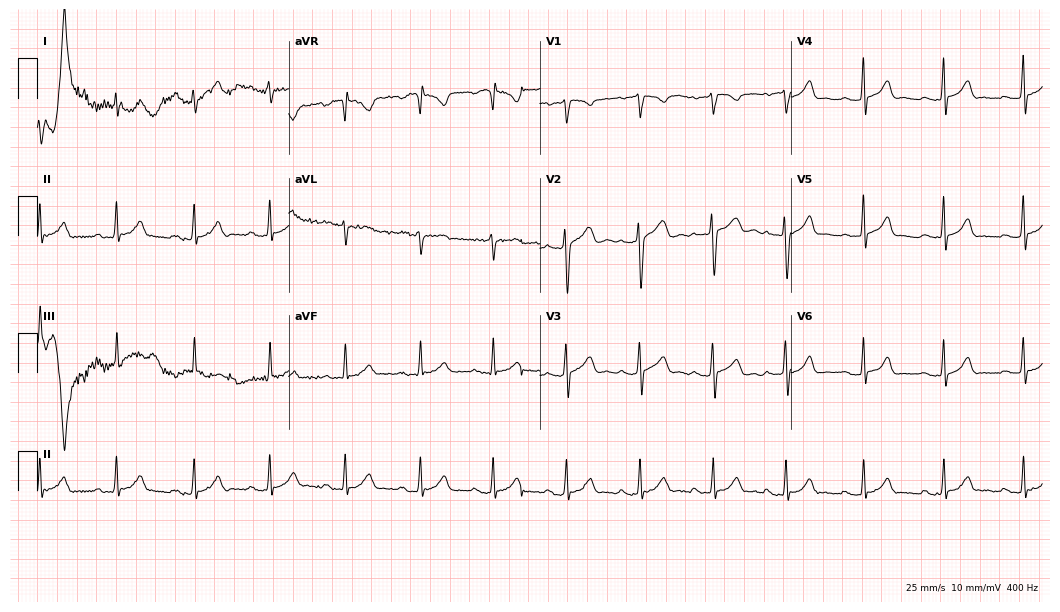
ECG (10.2-second recording at 400 Hz) — a female patient, 24 years old. Labelled as a normal ECG.